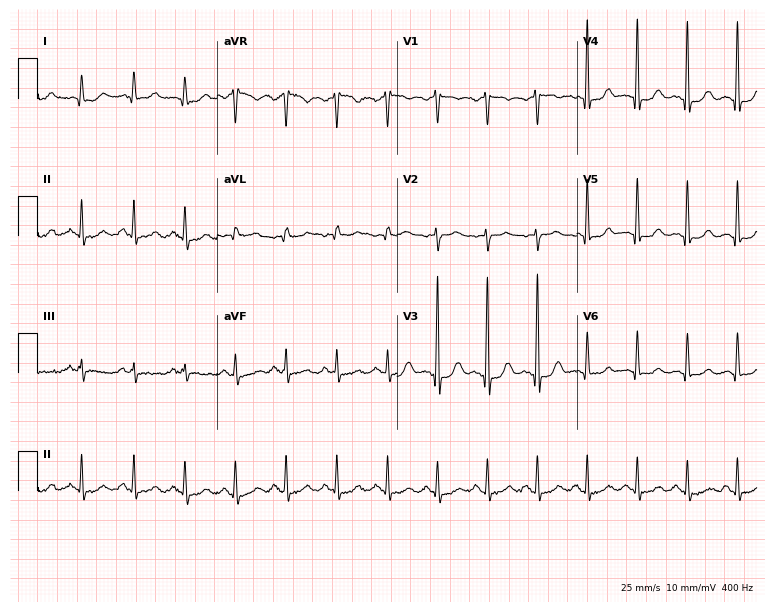
Resting 12-lead electrocardiogram. Patient: a female, 33 years old. The tracing shows sinus tachycardia (a sinus rate of 100 beats per minute or more).